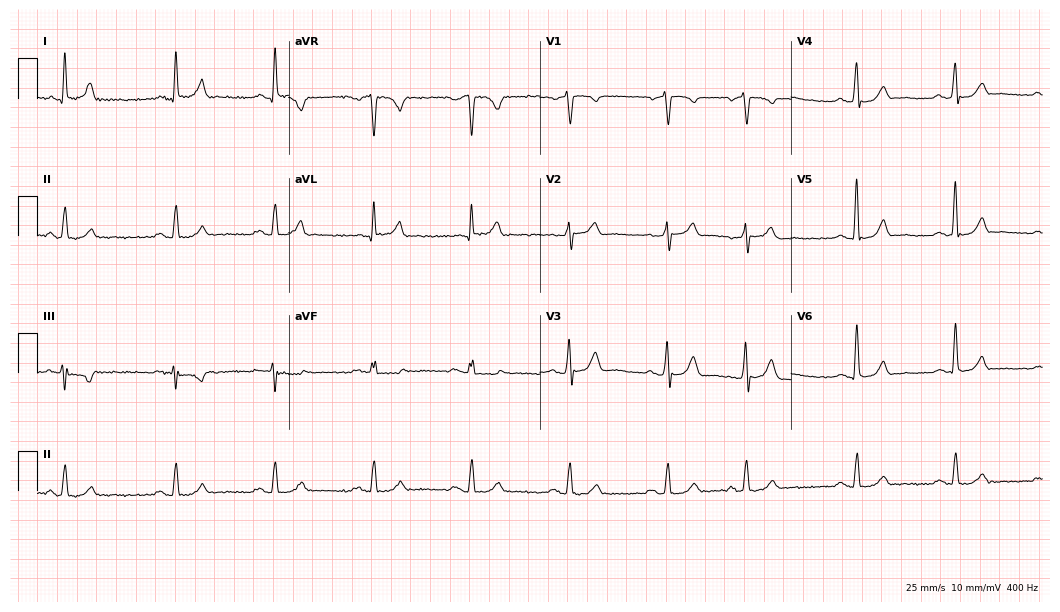
Resting 12-lead electrocardiogram. Patient: a male, 64 years old. Read as a normal ECG.